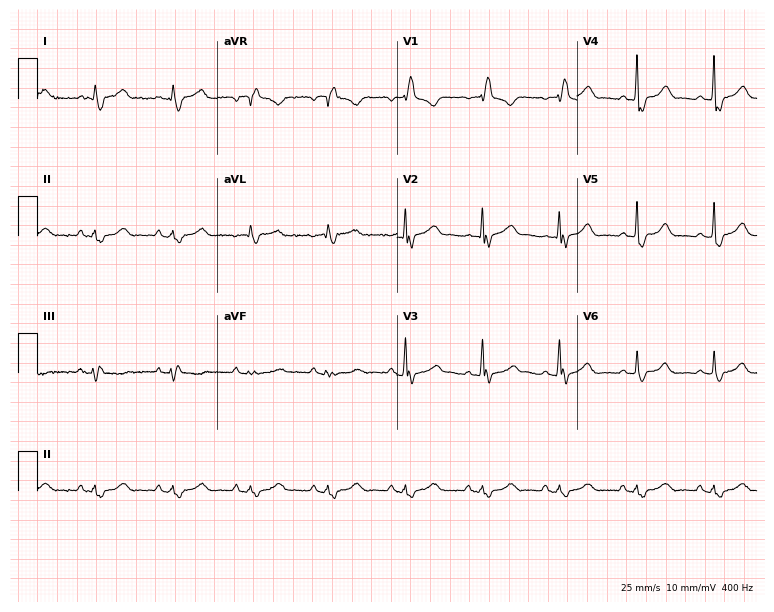
12-lead ECG from a male, 70 years old (7.3-second recording at 400 Hz). Shows right bundle branch block.